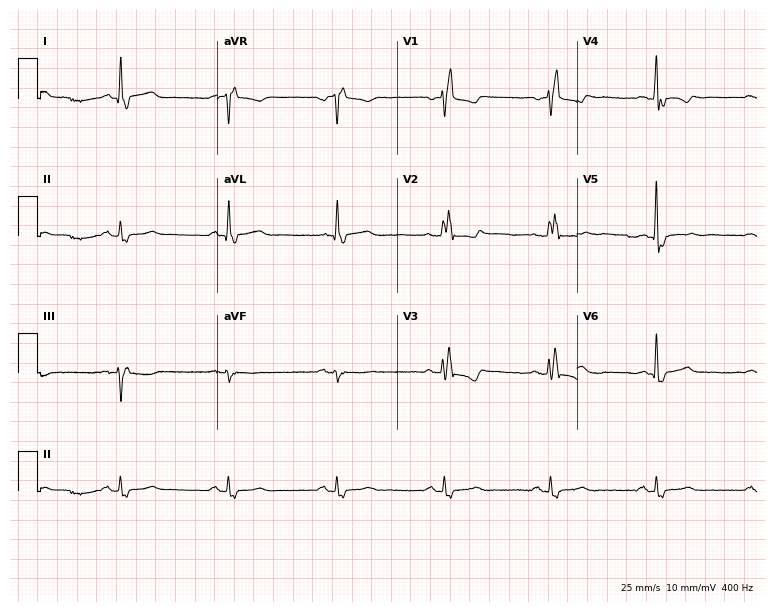
12-lead ECG from a male patient, 78 years old. Findings include right bundle branch block.